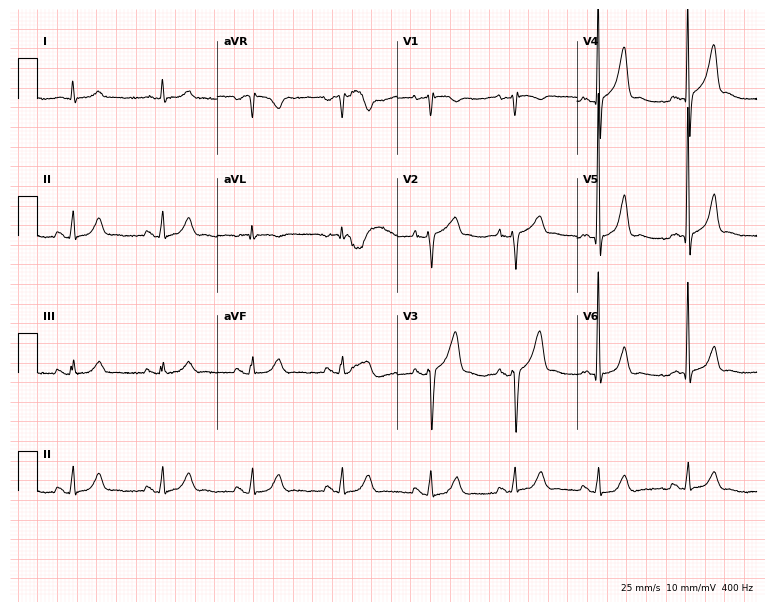
Electrocardiogram (7.3-second recording at 400 Hz), a male, 64 years old. Of the six screened findings (first-degree AV block, right bundle branch block (RBBB), left bundle branch block (LBBB), sinus bradycardia, atrial fibrillation (AF), sinus tachycardia), none is recorded.